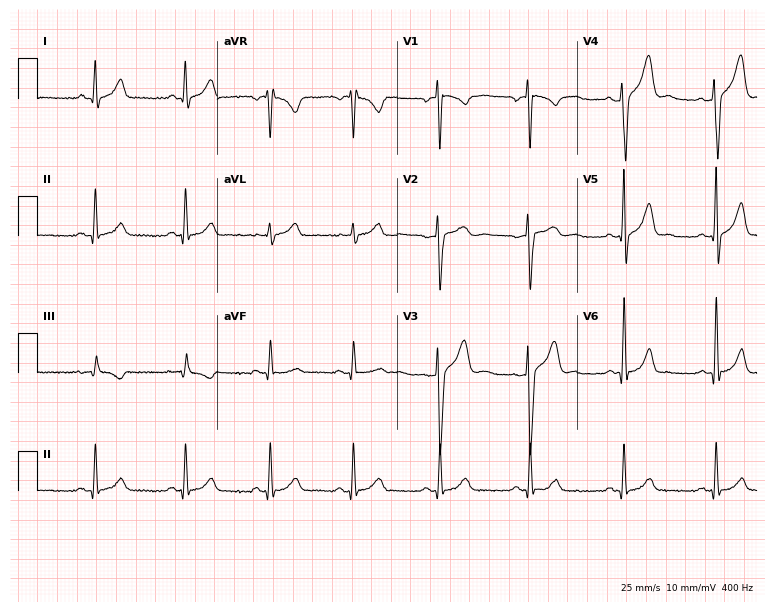
ECG — a 35-year-old male. Screened for six findings — first-degree AV block, right bundle branch block (RBBB), left bundle branch block (LBBB), sinus bradycardia, atrial fibrillation (AF), sinus tachycardia — none is recorded. Findings outside these six are not listed.